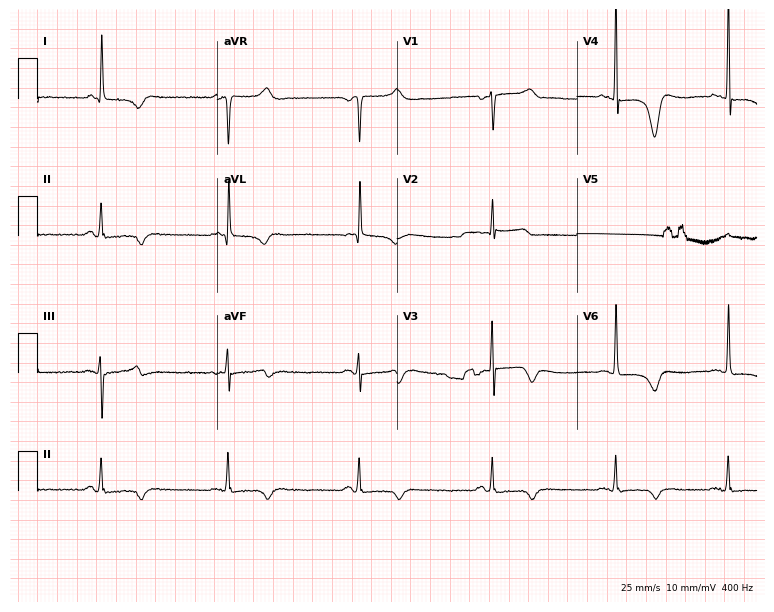
12-lead ECG from a man, 69 years old. No first-degree AV block, right bundle branch block (RBBB), left bundle branch block (LBBB), sinus bradycardia, atrial fibrillation (AF) or sinus tachycardia recorded for this tracing.